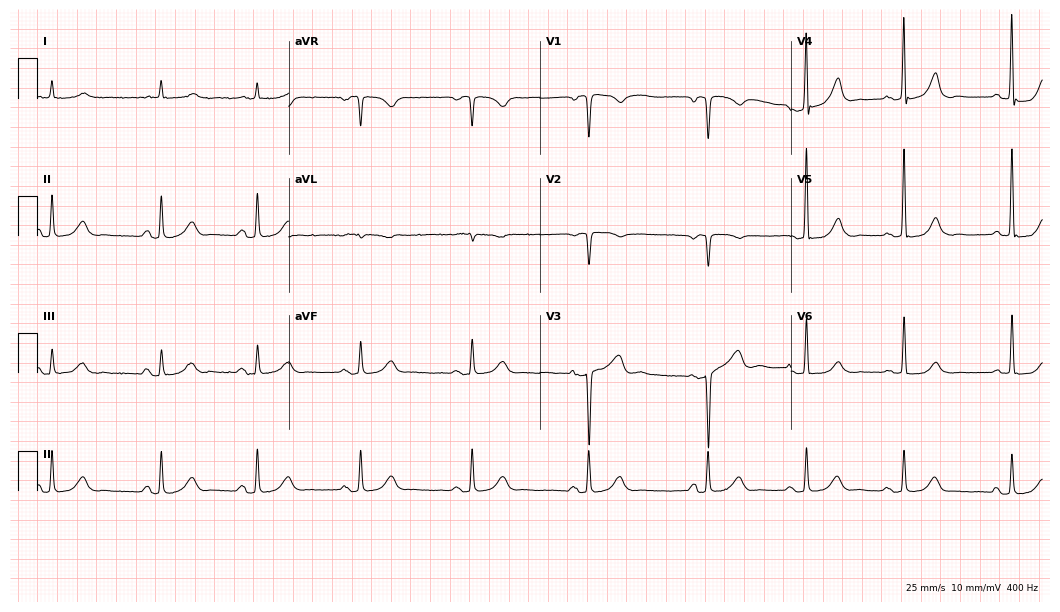
Resting 12-lead electrocardiogram (10.2-second recording at 400 Hz). Patient: a male, 82 years old. None of these six findings is recorded: first-degree AV block, right bundle branch block, left bundle branch block, sinus bradycardia, atrial fibrillation, sinus tachycardia. Other findings, if any, are not listed.